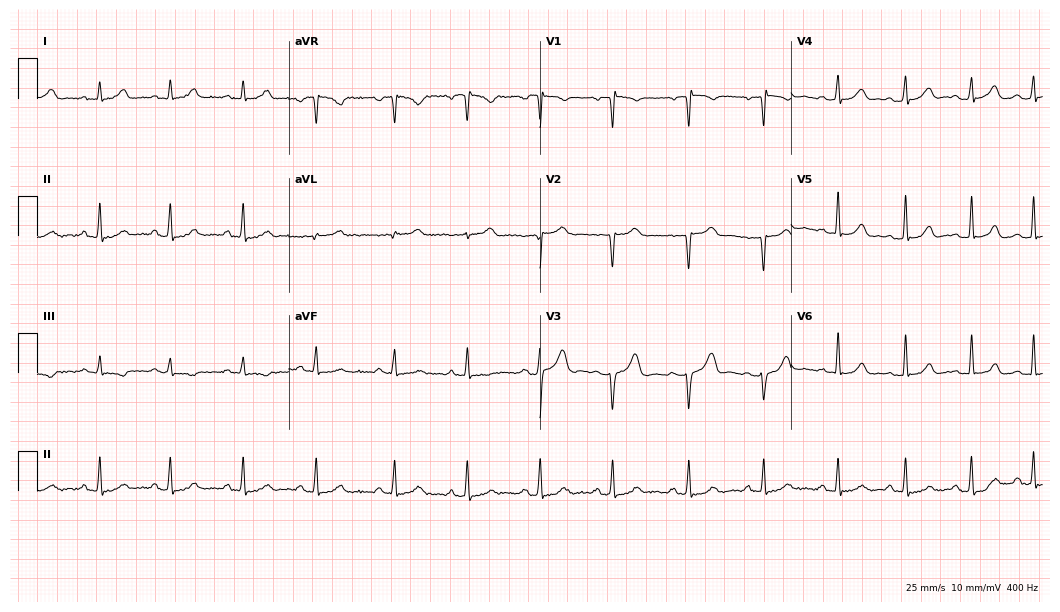
12-lead ECG (10.2-second recording at 400 Hz) from a 27-year-old female patient. Screened for six findings — first-degree AV block, right bundle branch block, left bundle branch block, sinus bradycardia, atrial fibrillation, sinus tachycardia — none is recorded.